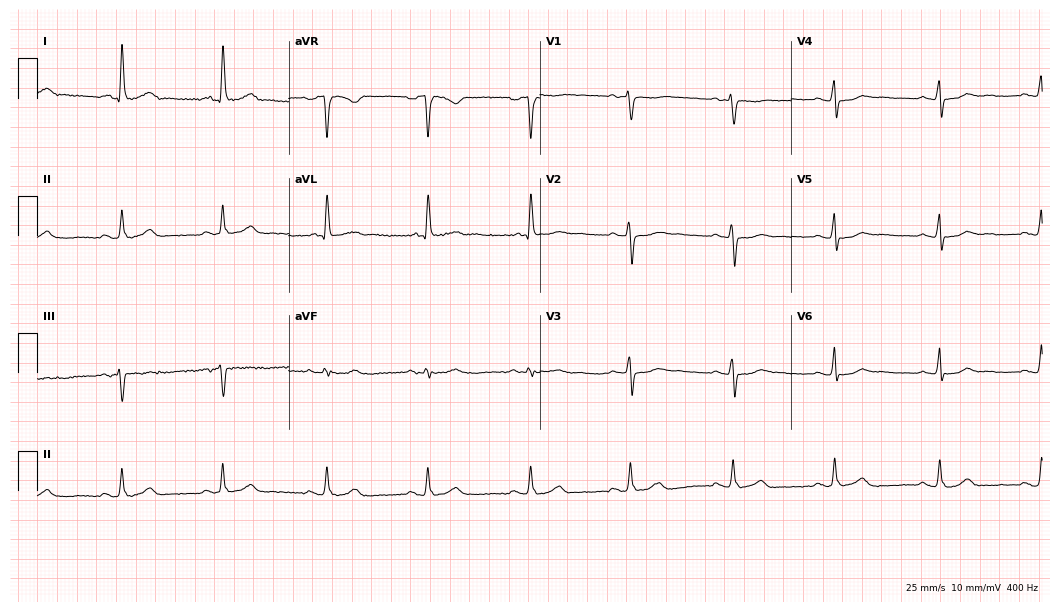
12-lead ECG from a female patient, 66 years old. Screened for six findings — first-degree AV block, right bundle branch block, left bundle branch block, sinus bradycardia, atrial fibrillation, sinus tachycardia — none is recorded.